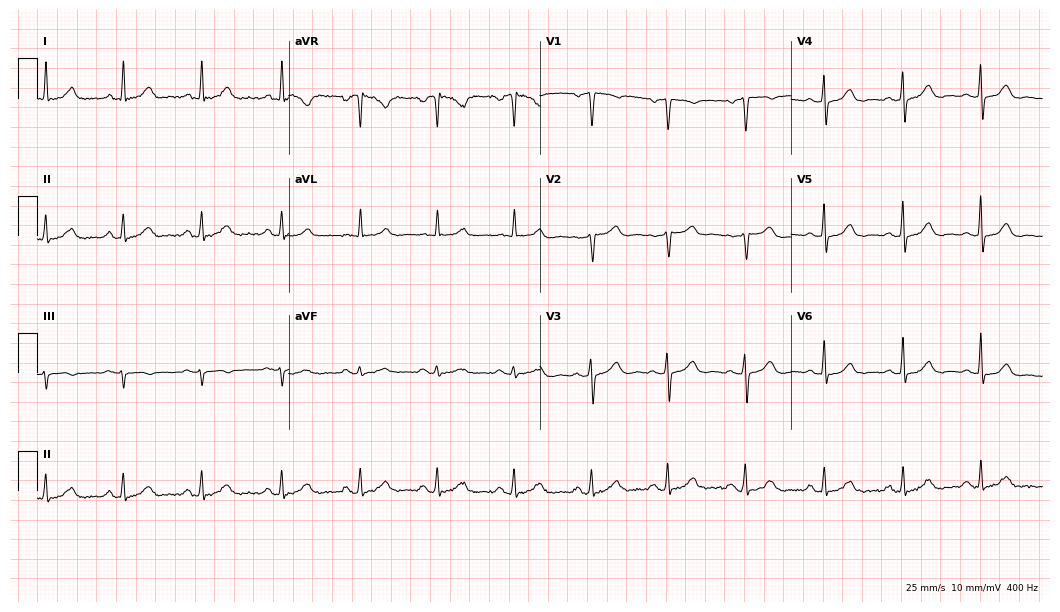
Standard 12-lead ECG recorded from a female patient, 52 years old (10.2-second recording at 400 Hz). Read as a normal ECG.